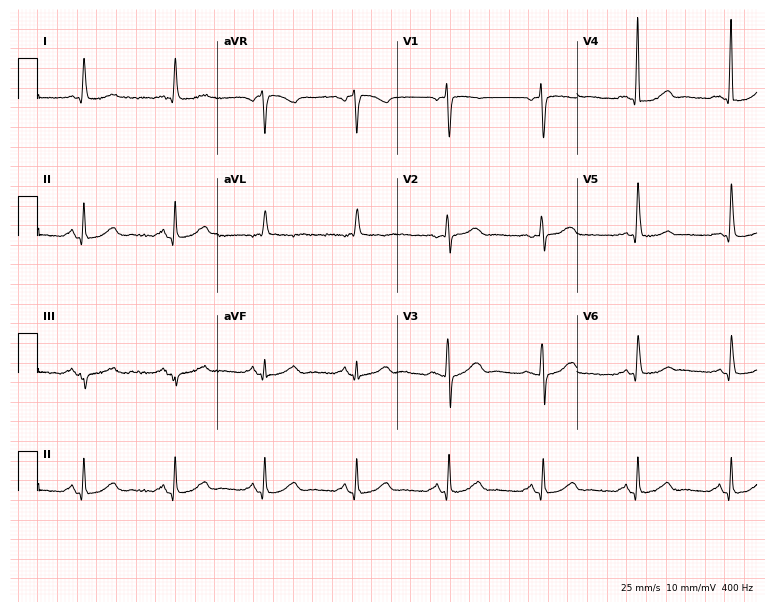
Electrocardiogram (7.3-second recording at 400 Hz), a woman, 83 years old. Overall reading on record: normal ECG.